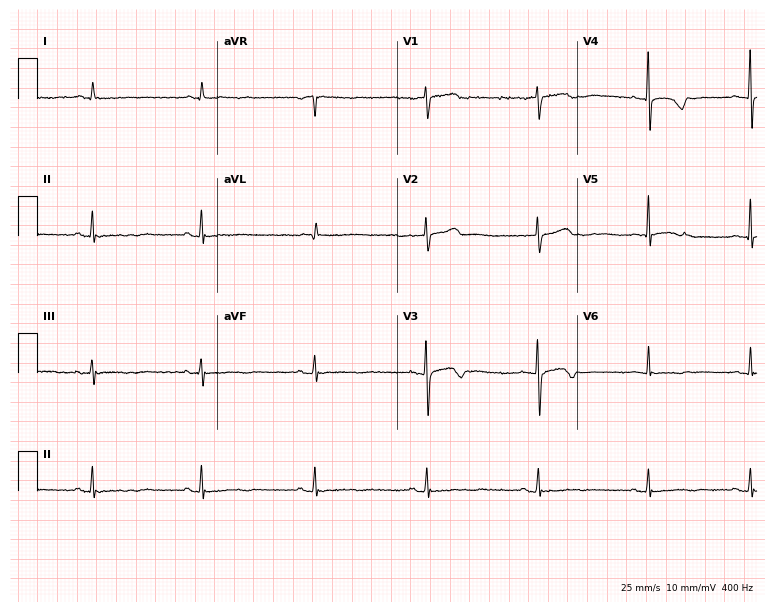
Standard 12-lead ECG recorded from a 61-year-old female. Read as a normal ECG.